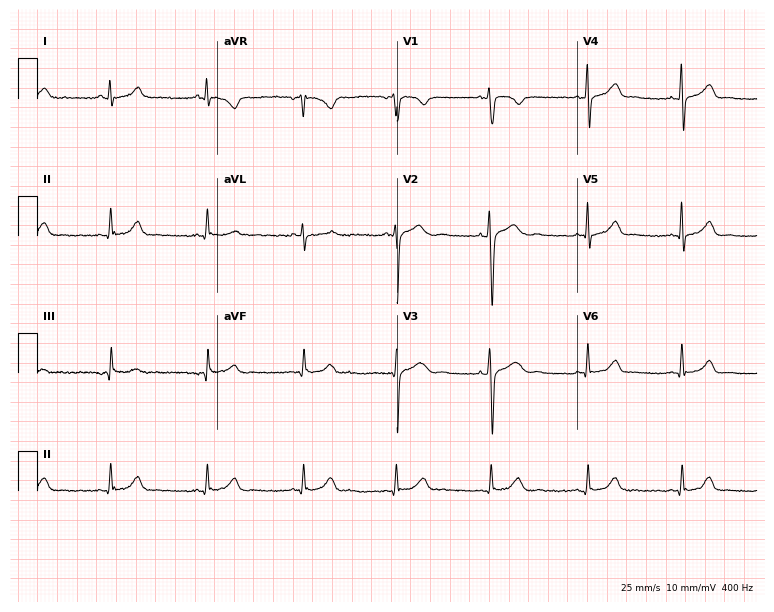
12-lead ECG from a woman, 42 years old. Screened for six findings — first-degree AV block, right bundle branch block, left bundle branch block, sinus bradycardia, atrial fibrillation, sinus tachycardia — none is recorded.